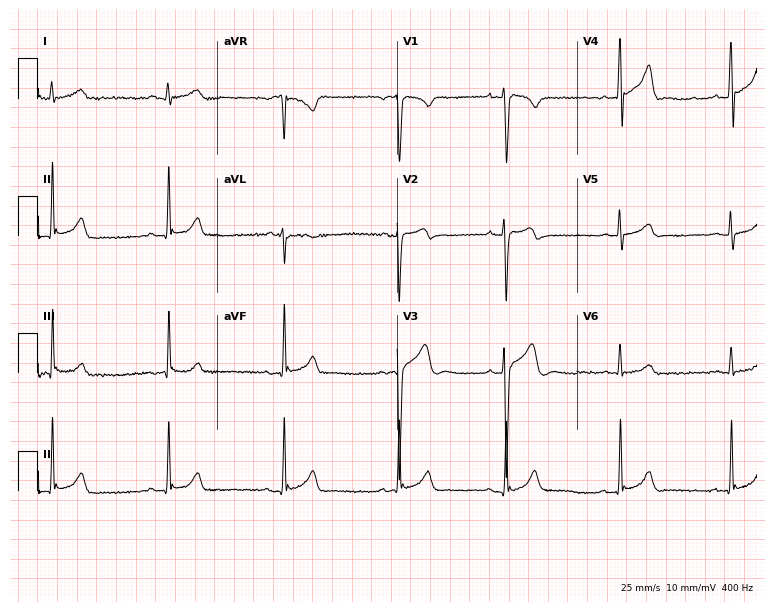
Standard 12-lead ECG recorded from a 24-year-old male (7.3-second recording at 400 Hz). None of these six findings is recorded: first-degree AV block, right bundle branch block, left bundle branch block, sinus bradycardia, atrial fibrillation, sinus tachycardia. Other findings, if any, are not listed.